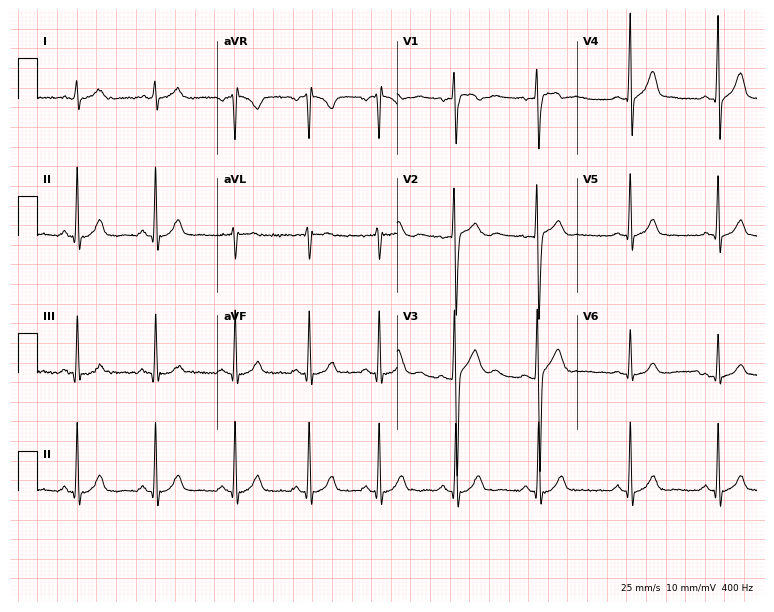
Electrocardiogram (7.3-second recording at 400 Hz), a male patient, 21 years old. Overall reading on record: normal ECG.